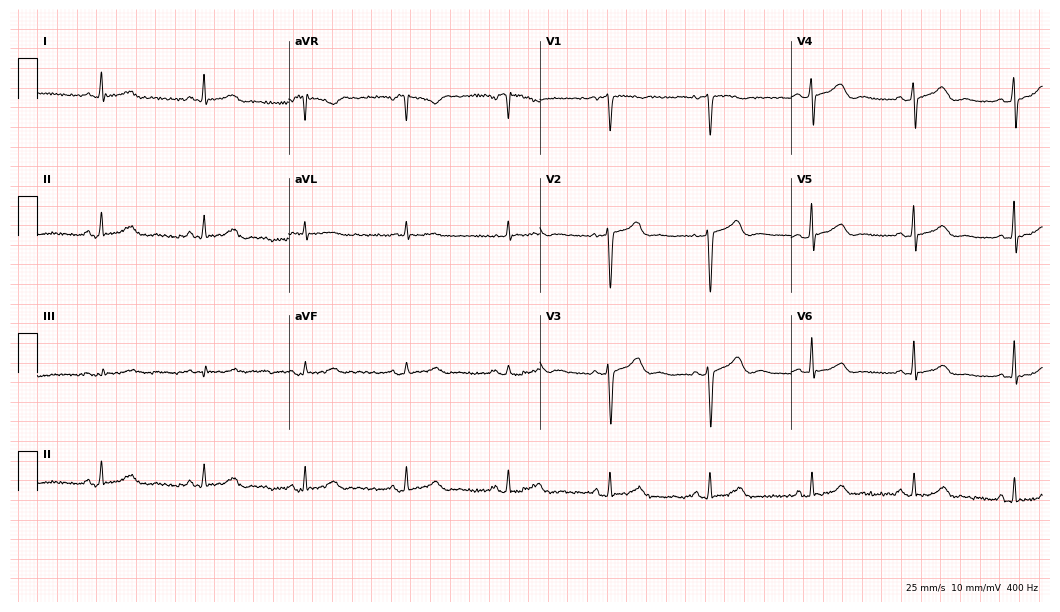
12-lead ECG from a 51-year-old woman (10.2-second recording at 400 Hz). Recorded interpretation: within normal limits.